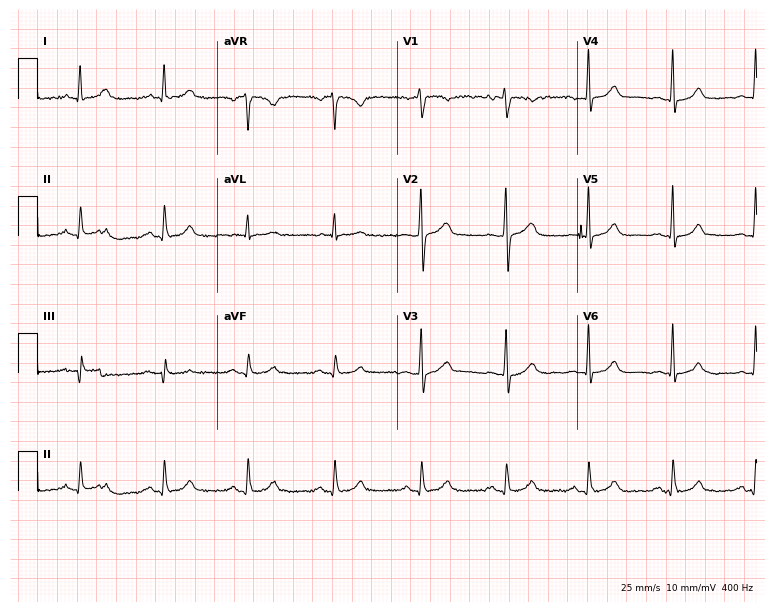
Standard 12-lead ECG recorded from a male, 40 years old (7.3-second recording at 400 Hz). Read as a normal ECG.